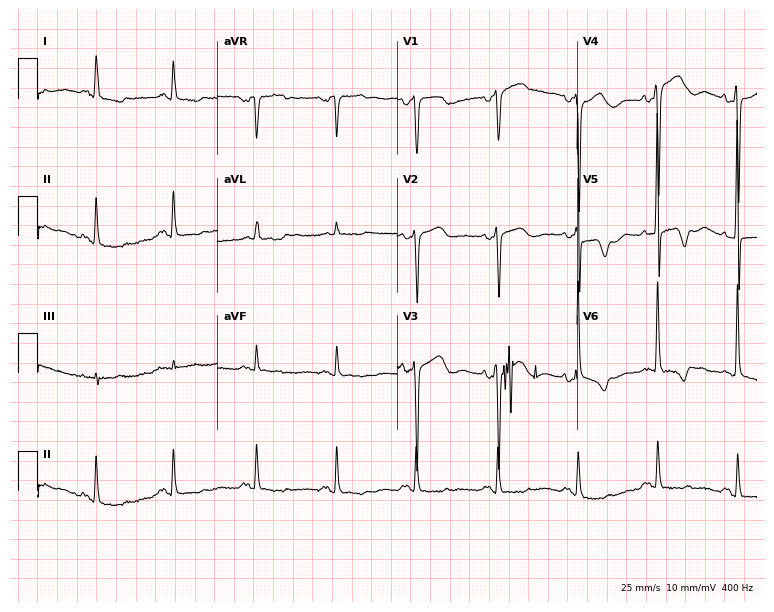
ECG (7.3-second recording at 400 Hz) — a female, 71 years old. Screened for six findings — first-degree AV block, right bundle branch block, left bundle branch block, sinus bradycardia, atrial fibrillation, sinus tachycardia — none is recorded.